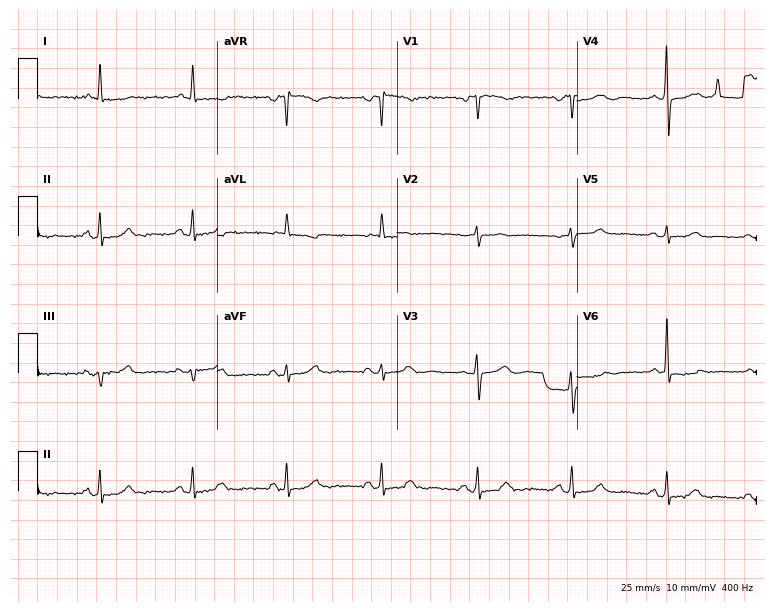
ECG — a male patient, 82 years old. Screened for six findings — first-degree AV block, right bundle branch block (RBBB), left bundle branch block (LBBB), sinus bradycardia, atrial fibrillation (AF), sinus tachycardia — none is recorded. Findings outside these six are not listed.